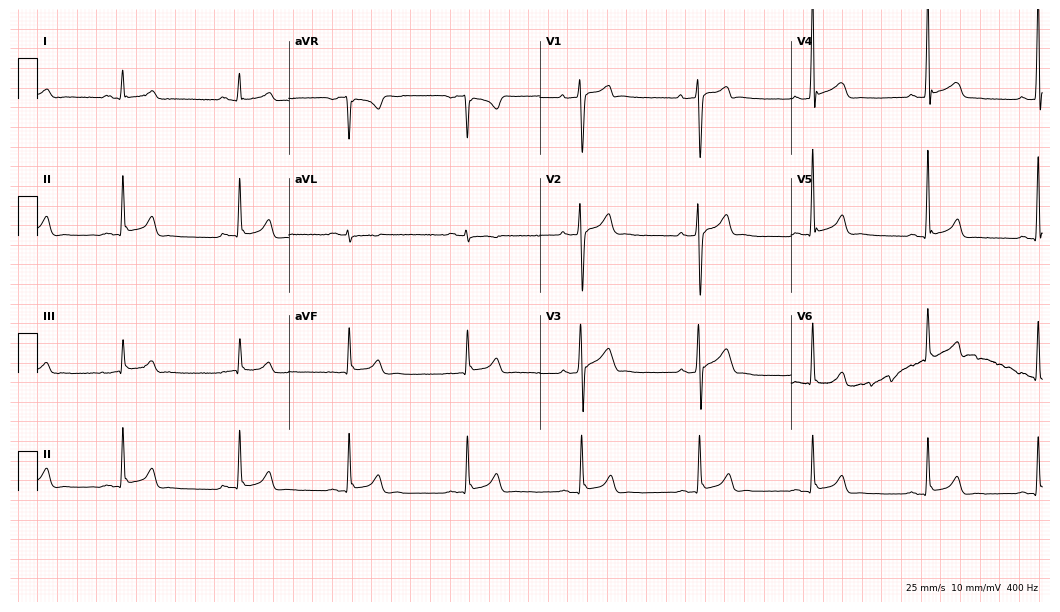
Electrocardiogram, a female patient, 29 years old. Of the six screened findings (first-degree AV block, right bundle branch block (RBBB), left bundle branch block (LBBB), sinus bradycardia, atrial fibrillation (AF), sinus tachycardia), none is recorded.